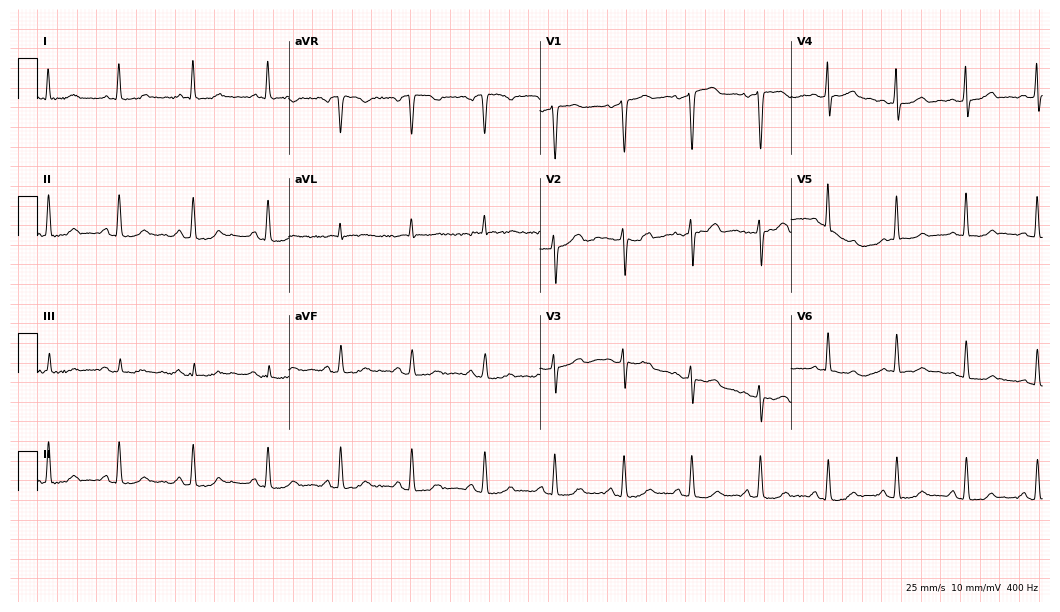
12-lead ECG from a 72-year-old woman (10.2-second recording at 400 Hz). No first-degree AV block, right bundle branch block, left bundle branch block, sinus bradycardia, atrial fibrillation or sinus tachycardia recorded for this tracing.